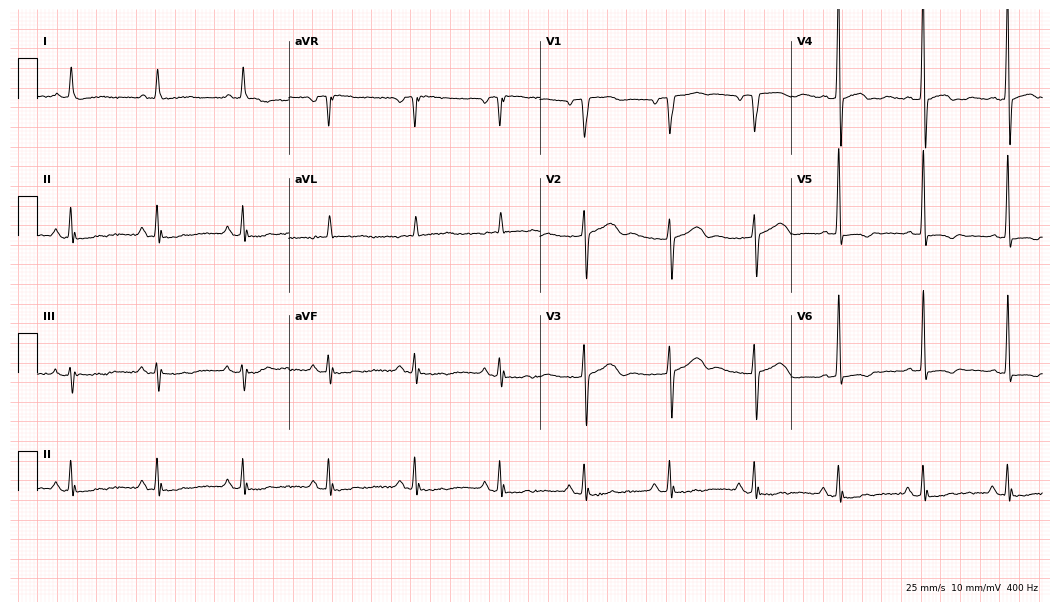
ECG — an 82-year-old man. Screened for six findings — first-degree AV block, right bundle branch block, left bundle branch block, sinus bradycardia, atrial fibrillation, sinus tachycardia — none is recorded. Other findings, if any, are not listed.